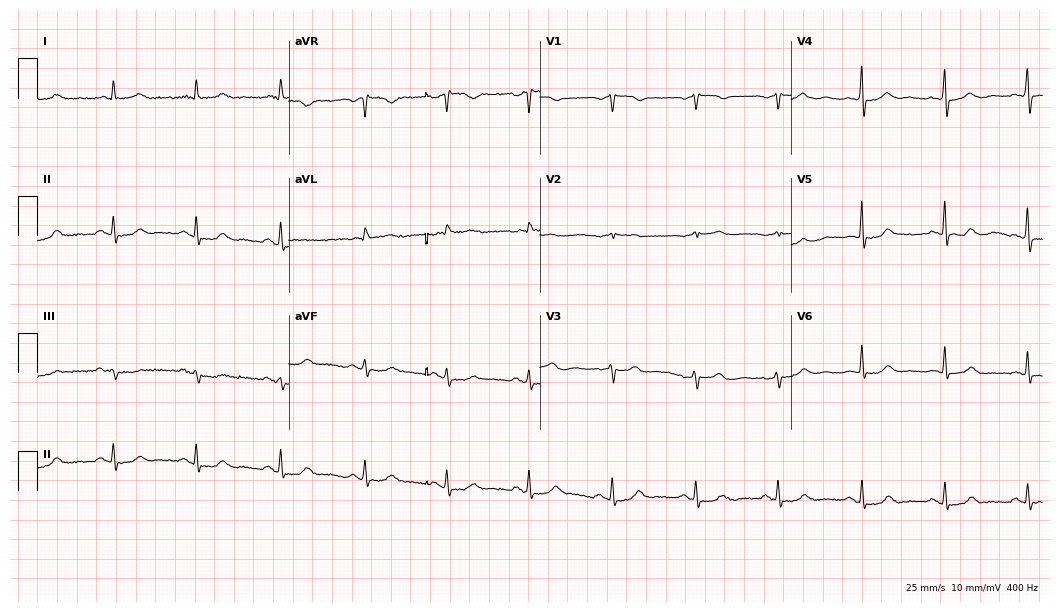
12-lead ECG (10.2-second recording at 400 Hz) from a 71-year-old woman. Screened for six findings — first-degree AV block, right bundle branch block, left bundle branch block, sinus bradycardia, atrial fibrillation, sinus tachycardia — none is recorded. Other findings, if any, are not listed.